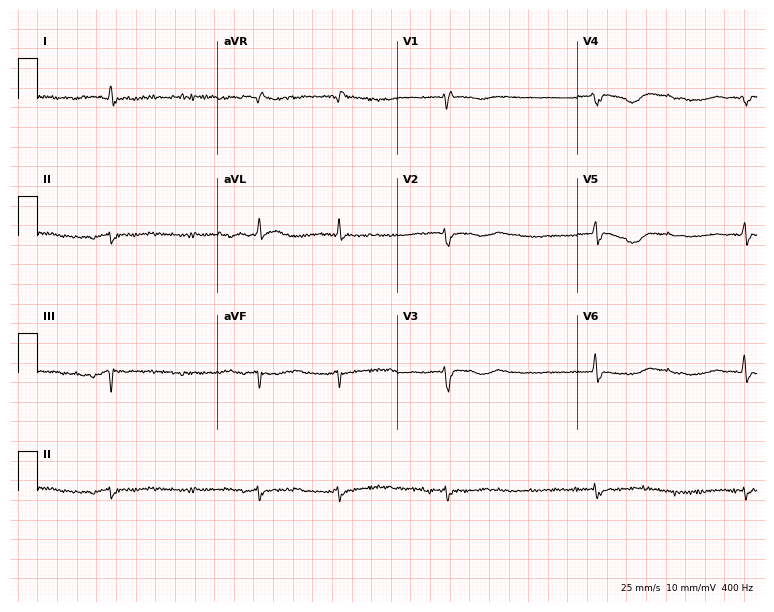
Resting 12-lead electrocardiogram (7.3-second recording at 400 Hz). Patient: a woman, 77 years old. None of these six findings is recorded: first-degree AV block, right bundle branch block, left bundle branch block, sinus bradycardia, atrial fibrillation, sinus tachycardia. Findings outside these six are not listed.